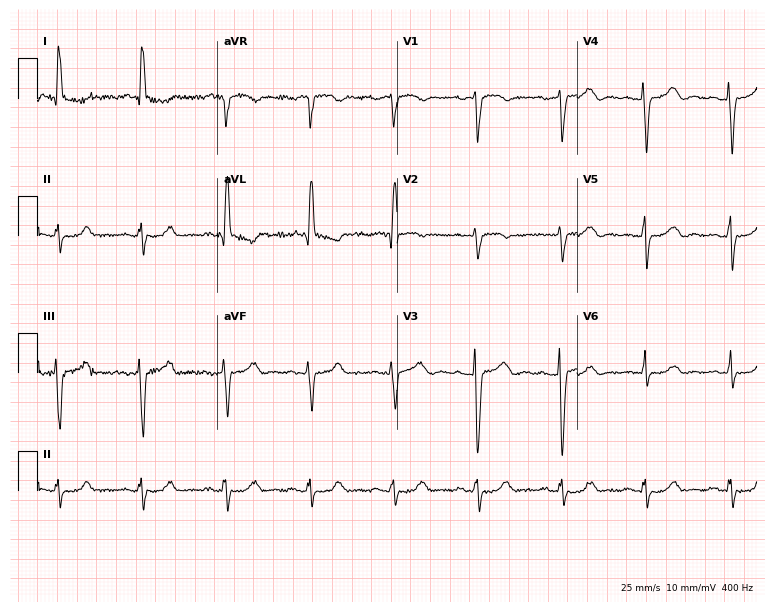
Standard 12-lead ECG recorded from an 85-year-old woman (7.3-second recording at 400 Hz). None of these six findings is recorded: first-degree AV block, right bundle branch block, left bundle branch block, sinus bradycardia, atrial fibrillation, sinus tachycardia.